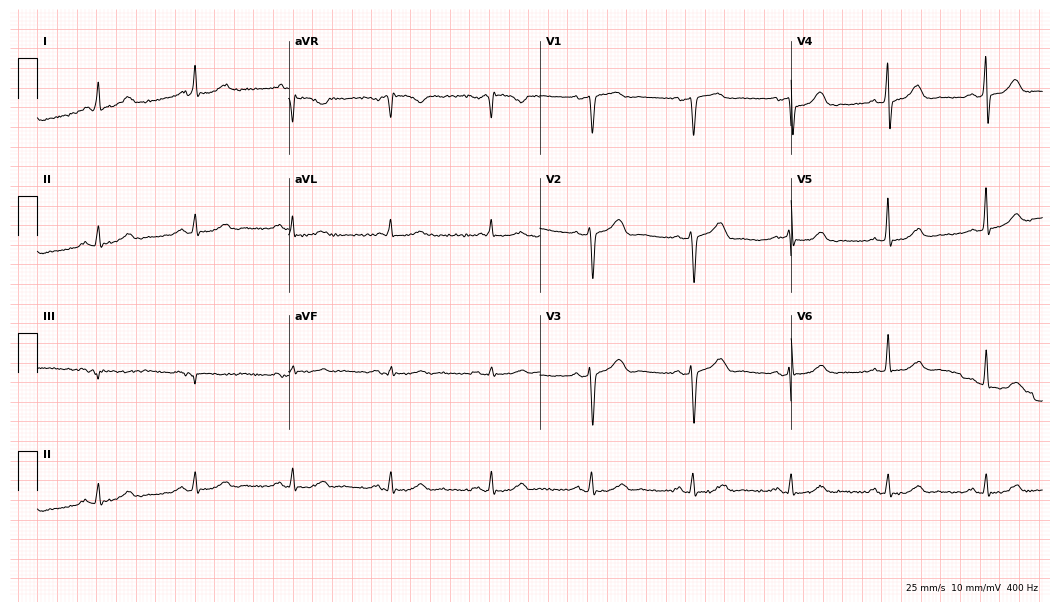
ECG (10.2-second recording at 400 Hz) — a 77-year-old female. Labelled as a normal ECG.